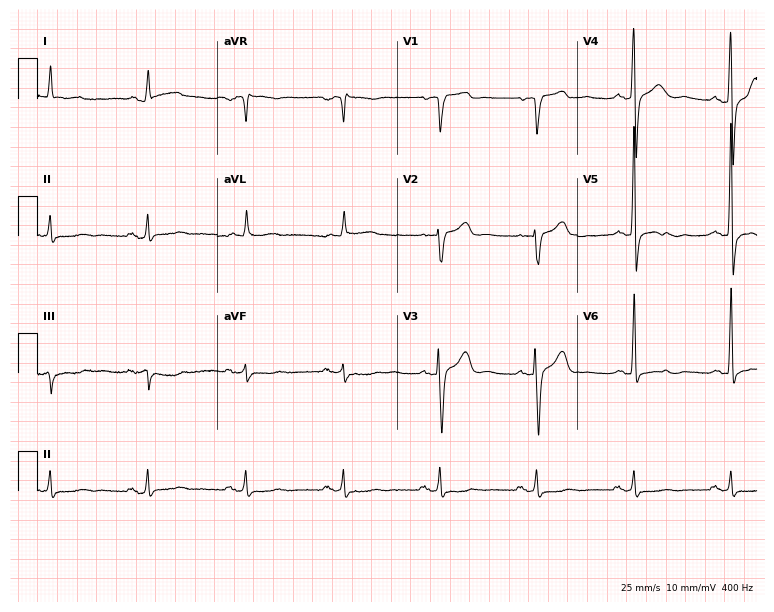
ECG — a 67-year-old man. Screened for six findings — first-degree AV block, right bundle branch block (RBBB), left bundle branch block (LBBB), sinus bradycardia, atrial fibrillation (AF), sinus tachycardia — none is recorded. Other findings, if any, are not listed.